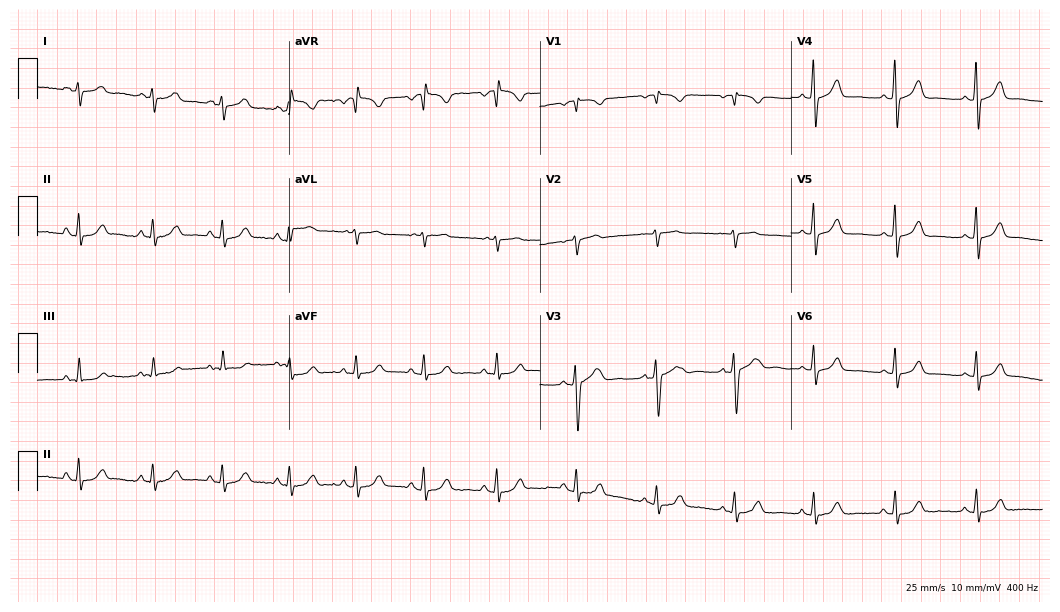
12-lead ECG from a 27-year-old female (10.2-second recording at 400 Hz). Recorded interpretation: within normal limits.